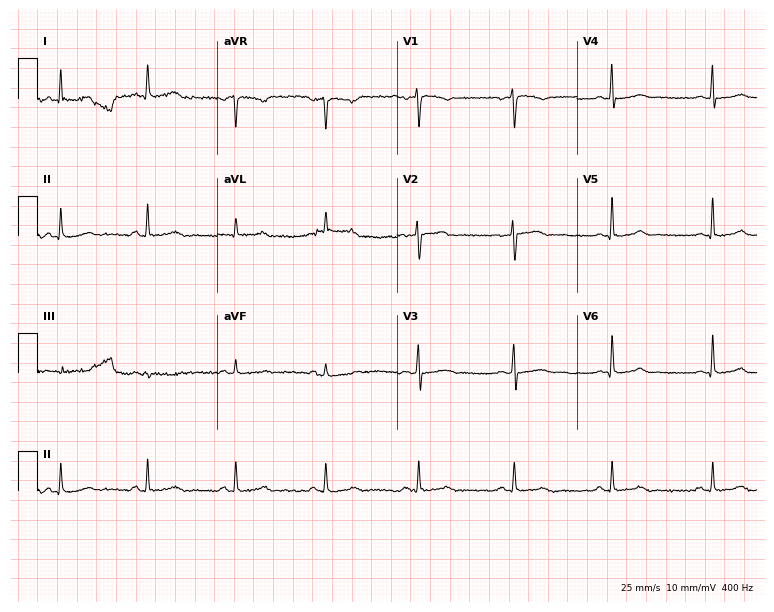
ECG (7.3-second recording at 400 Hz) — a female, 48 years old. Screened for six findings — first-degree AV block, right bundle branch block, left bundle branch block, sinus bradycardia, atrial fibrillation, sinus tachycardia — none is recorded.